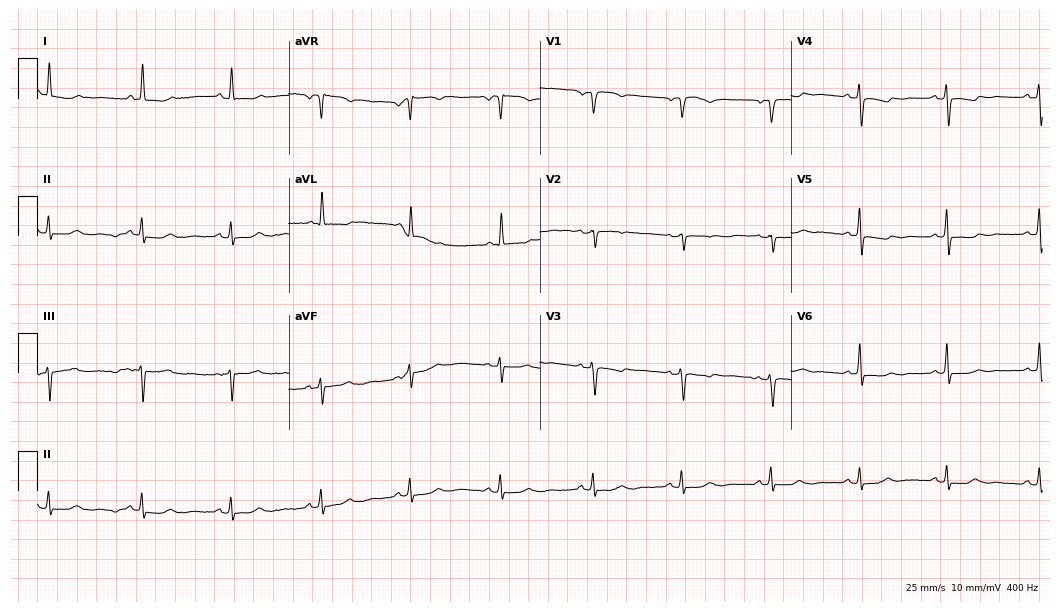
ECG (10.2-second recording at 400 Hz) — a female, 67 years old. Screened for six findings — first-degree AV block, right bundle branch block, left bundle branch block, sinus bradycardia, atrial fibrillation, sinus tachycardia — none is recorded.